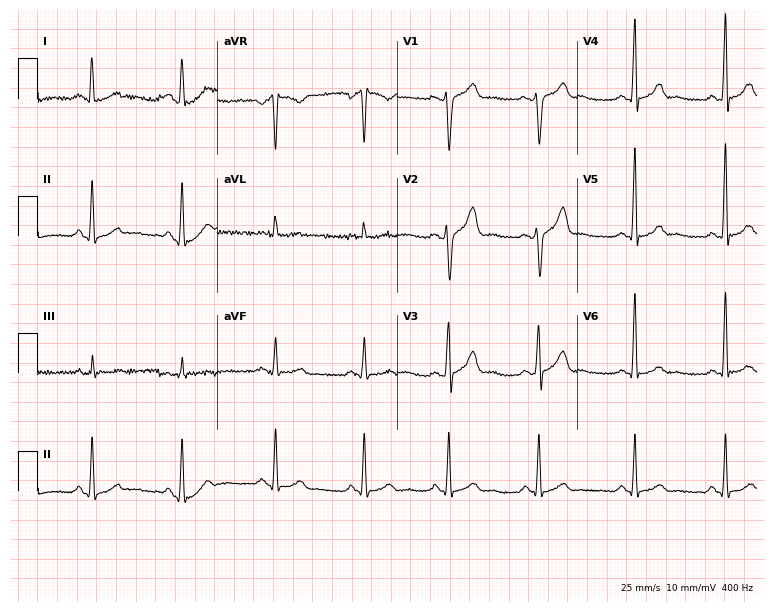
ECG (7.3-second recording at 400 Hz) — a male patient, 35 years old. Screened for six findings — first-degree AV block, right bundle branch block, left bundle branch block, sinus bradycardia, atrial fibrillation, sinus tachycardia — none is recorded. Only these six findings were labelled.